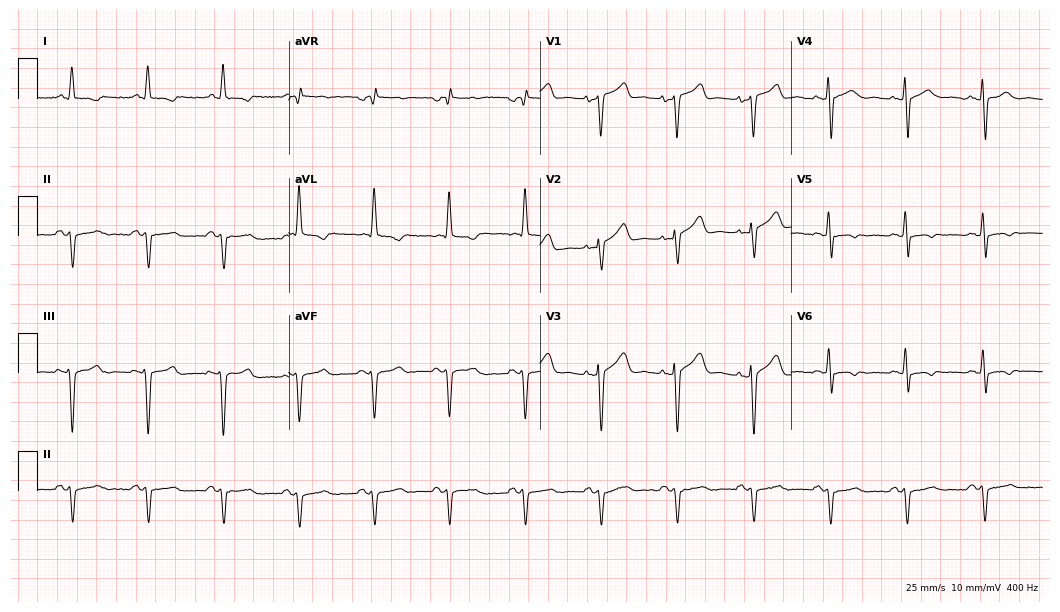
Standard 12-lead ECG recorded from a 58-year-old man (10.2-second recording at 400 Hz). None of these six findings is recorded: first-degree AV block, right bundle branch block (RBBB), left bundle branch block (LBBB), sinus bradycardia, atrial fibrillation (AF), sinus tachycardia.